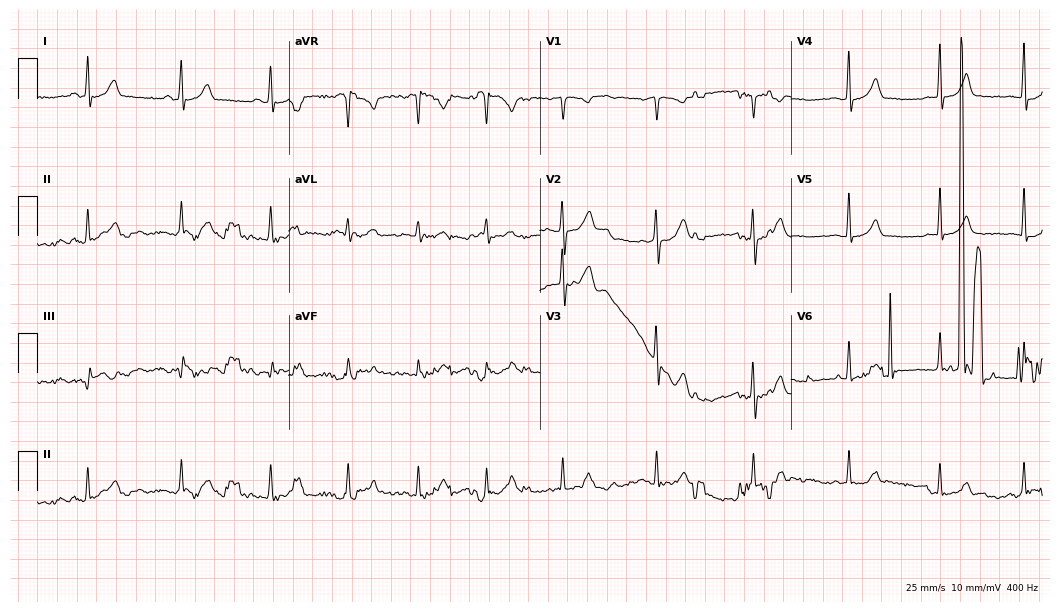
Resting 12-lead electrocardiogram. Patient: a female, 34 years old. None of these six findings is recorded: first-degree AV block, right bundle branch block, left bundle branch block, sinus bradycardia, atrial fibrillation, sinus tachycardia.